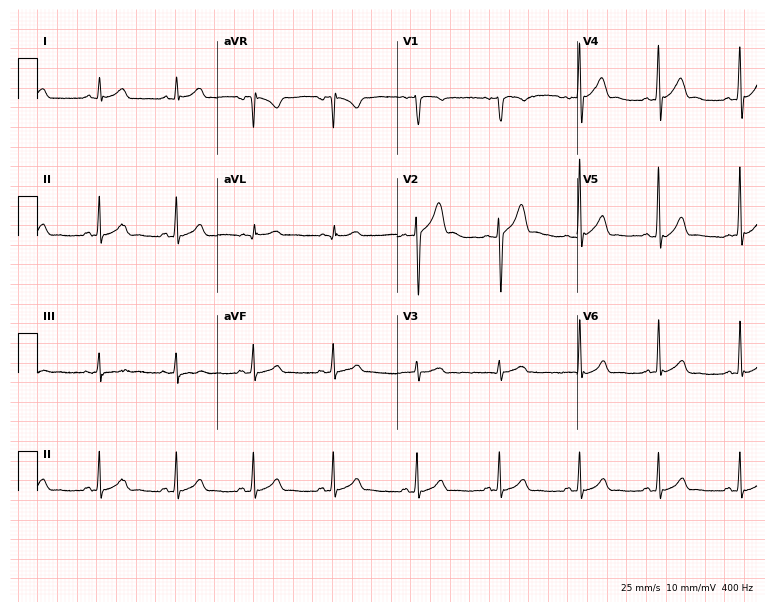
Resting 12-lead electrocardiogram (7.3-second recording at 400 Hz). Patient: a man, 29 years old. None of these six findings is recorded: first-degree AV block, right bundle branch block, left bundle branch block, sinus bradycardia, atrial fibrillation, sinus tachycardia. Other findings, if any, are not listed.